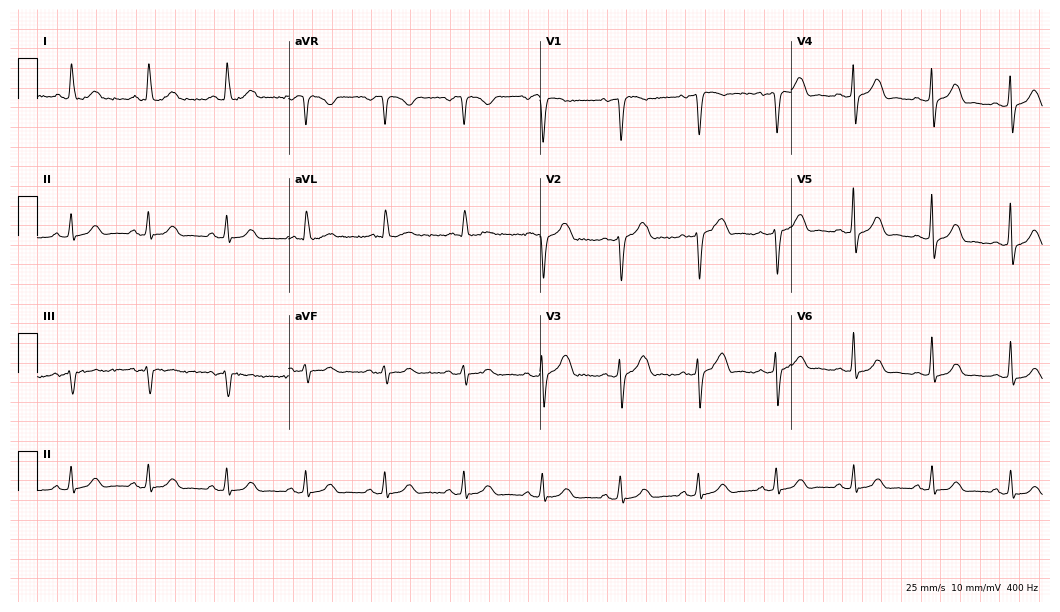
Resting 12-lead electrocardiogram (10.2-second recording at 400 Hz). Patient: a woman, 70 years old. None of these six findings is recorded: first-degree AV block, right bundle branch block (RBBB), left bundle branch block (LBBB), sinus bradycardia, atrial fibrillation (AF), sinus tachycardia.